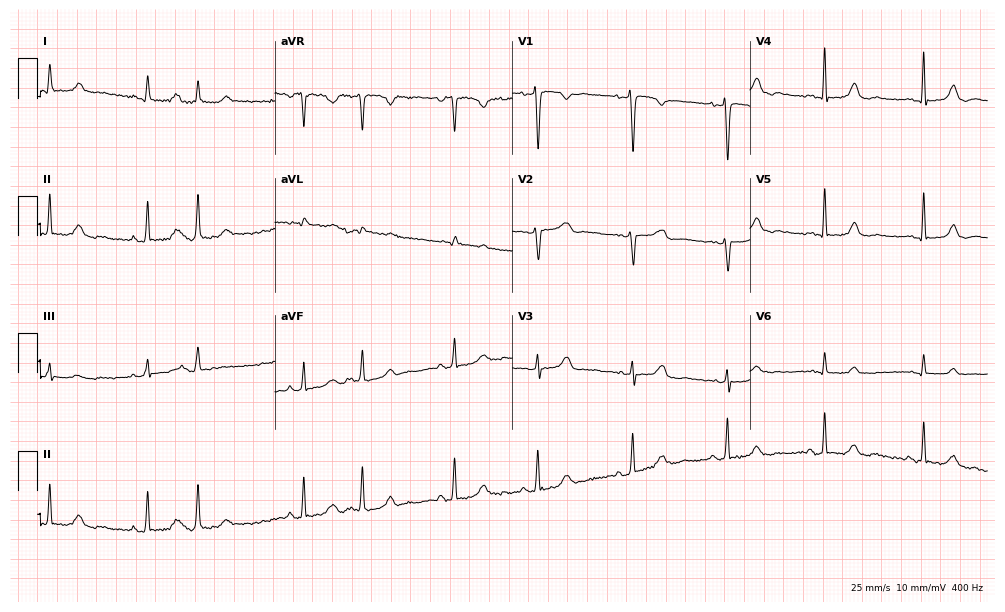
Resting 12-lead electrocardiogram. Patient: a woman, 57 years old. None of these six findings is recorded: first-degree AV block, right bundle branch block (RBBB), left bundle branch block (LBBB), sinus bradycardia, atrial fibrillation (AF), sinus tachycardia. Other findings, if any, are not listed.